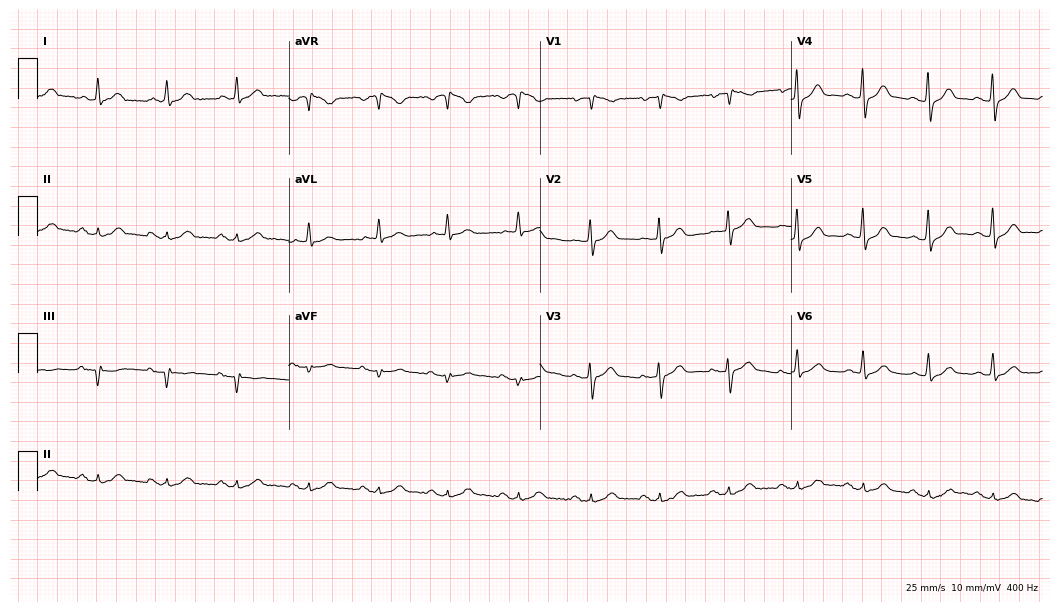
Resting 12-lead electrocardiogram. Patient: an 84-year-old man. None of these six findings is recorded: first-degree AV block, right bundle branch block, left bundle branch block, sinus bradycardia, atrial fibrillation, sinus tachycardia. Only these six findings were labelled.